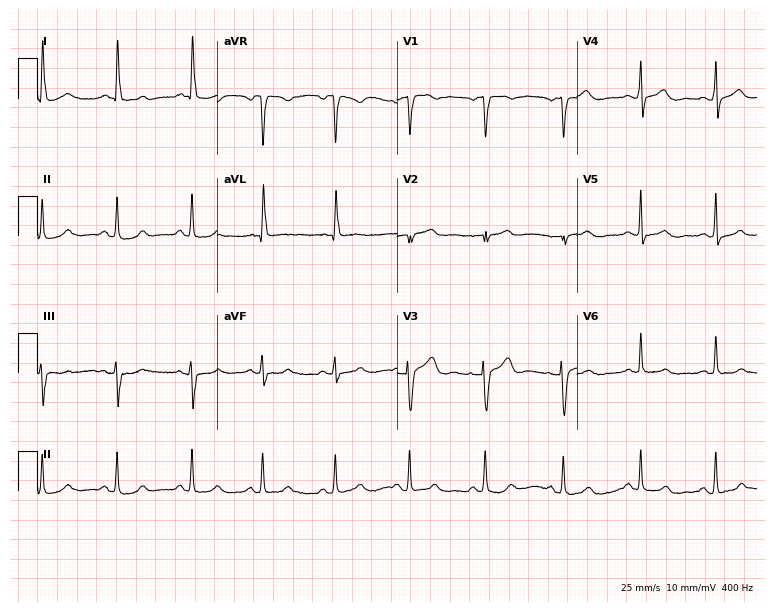
12-lead ECG from a 56-year-old woman. No first-degree AV block, right bundle branch block (RBBB), left bundle branch block (LBBB), sinus bradycardia, atrial fibrillation (AF) or sinus tachycardia recorded for this tracing. Only these six findings were labelled.